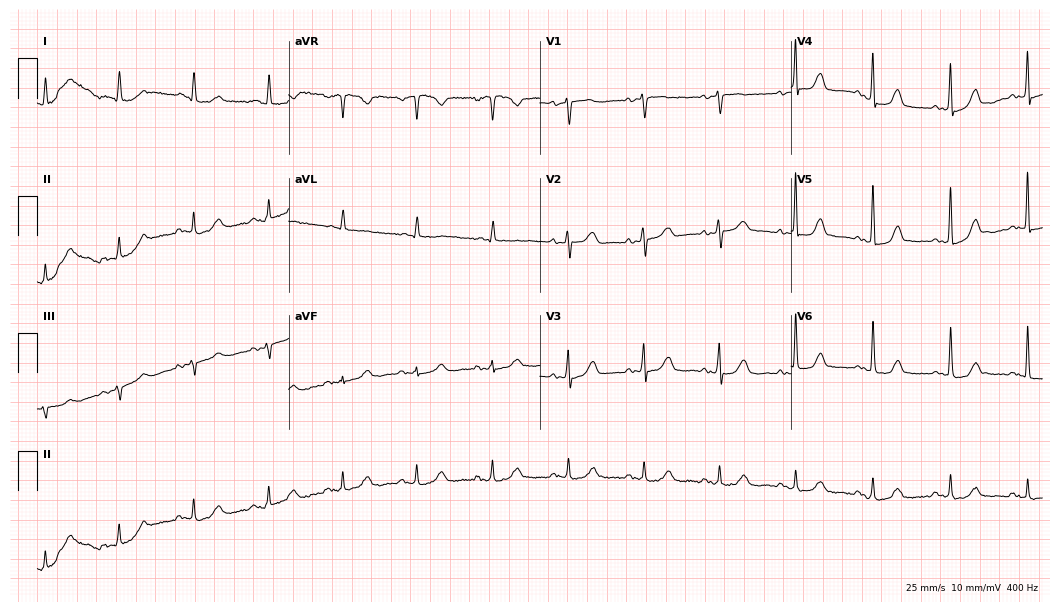
ECG (10.2-second recording at 400 Hz) — a woman, 78 years old. Screened for six findings — first-degree AV block, right bundle branch block (RBBB), left bundle branch block (LBBB), sinus bradycardia, atrial fibrillation (AF), sinus tachycardia — none is recorded. Findings outside these six are not listed.